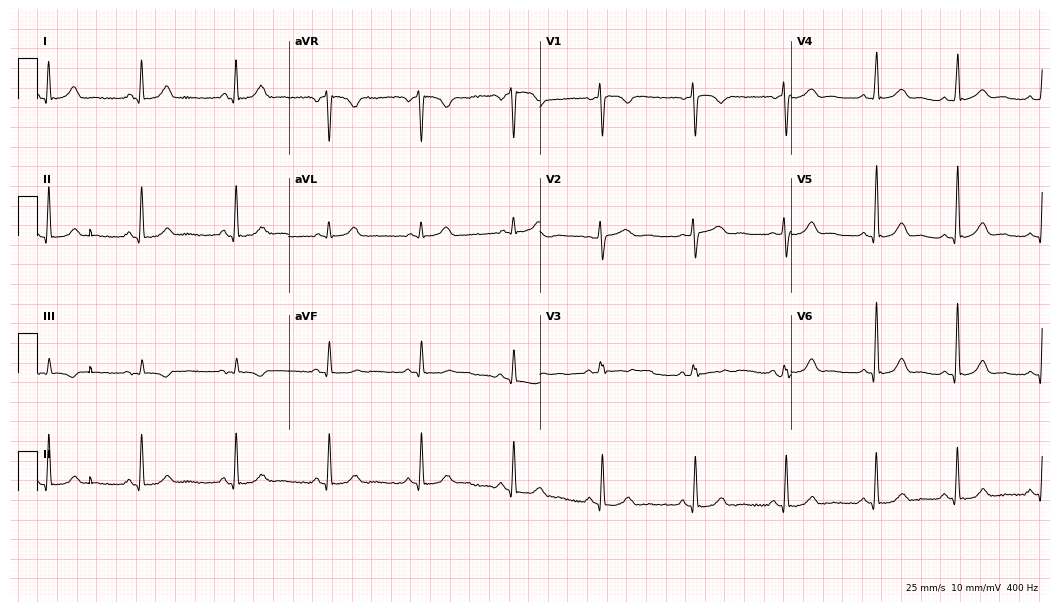
Electrocardiogram (10.2-second recording at 400 Hz), a female, 25 years old. Overall reading on record: normal ECG.